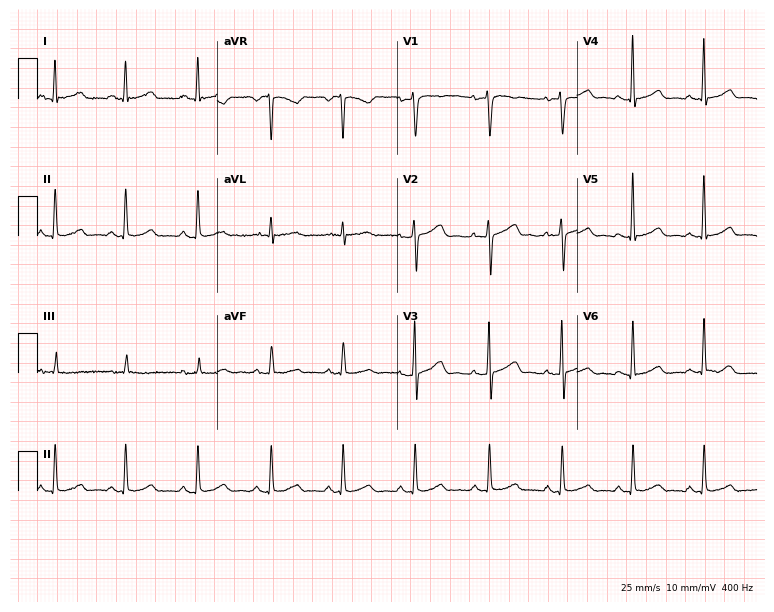
Electrocardiogram (7.3-second recording at 400 Hz), a 48-year-old female patient. Overall reading on record: normal ECG.